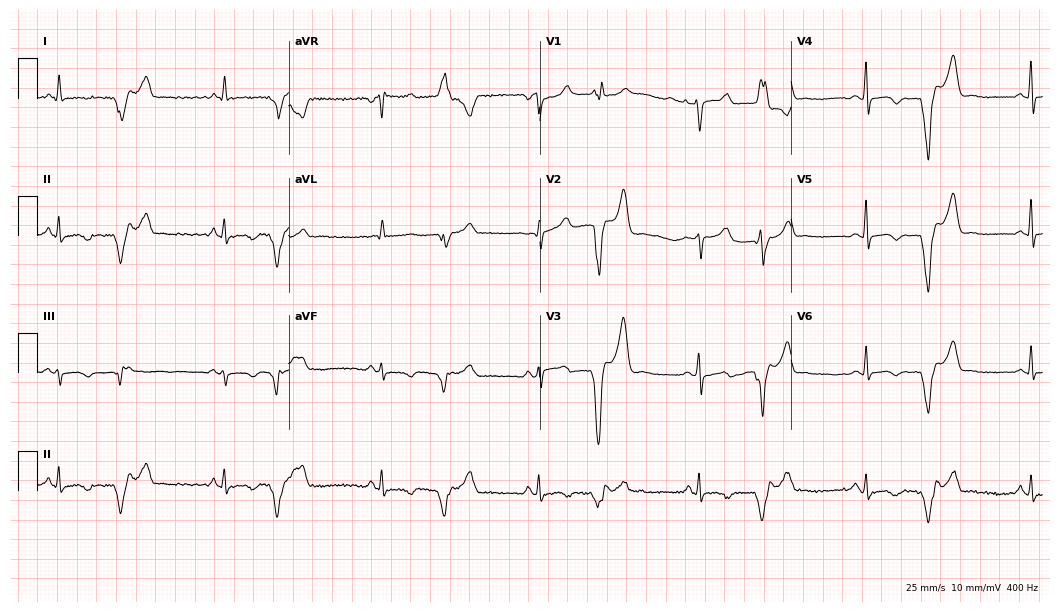
ECG (10.2-second recording at 400 Hz) — a female, 42 years old. Screened for six findings — first-degree AV block, right bundle branch block, left bundle branch block, sinus bradycardia, atrial fibrillation, sinus tachycardia — none is recorded.